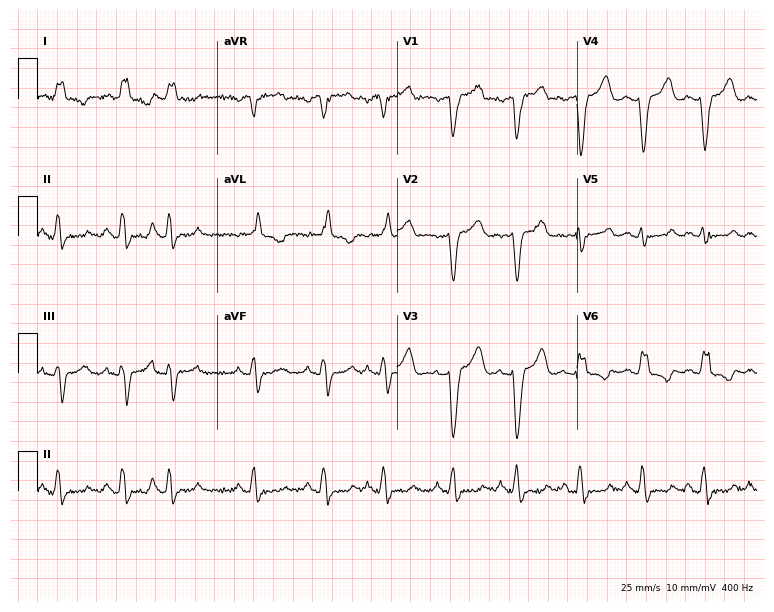
12-lead ECG from a 75-year-old female patient. Shows left bundle branch block.